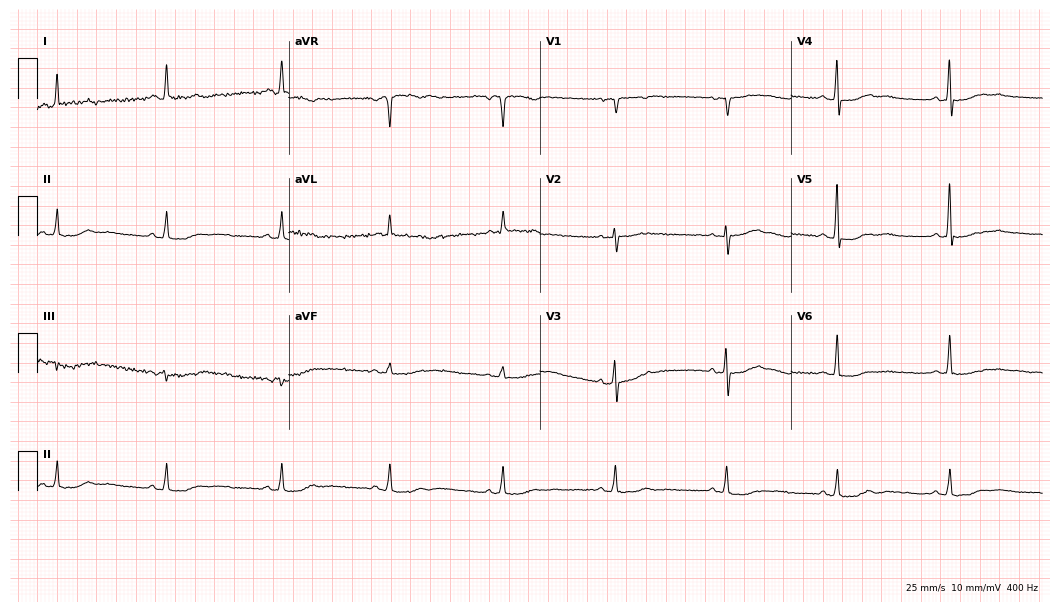
12-lead ECG from an 80-year-old female. Screened for six findings — first-degree AV block, right bundle branch block (RBBB), left bundle branch block (LBBB), sinus bradycardia, atrial fibrillation (AF), sinus tachycardia — none is recorded. Only these six findings were labelled.